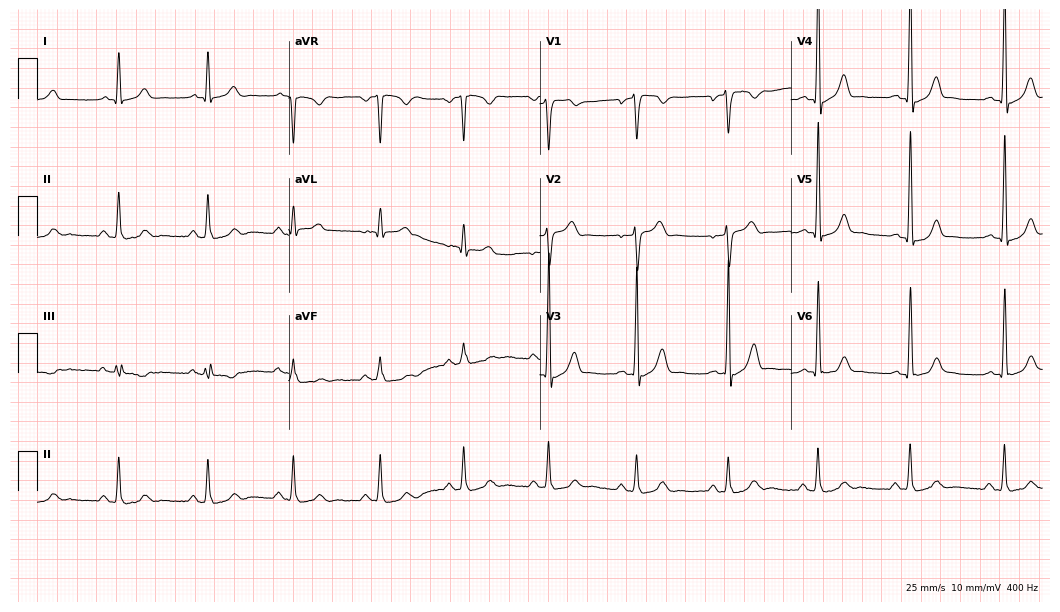
12-lead ECG from a male, 40 years old (10.2-second recording at 400 Hz). Recorded interpretation: within normal limits.